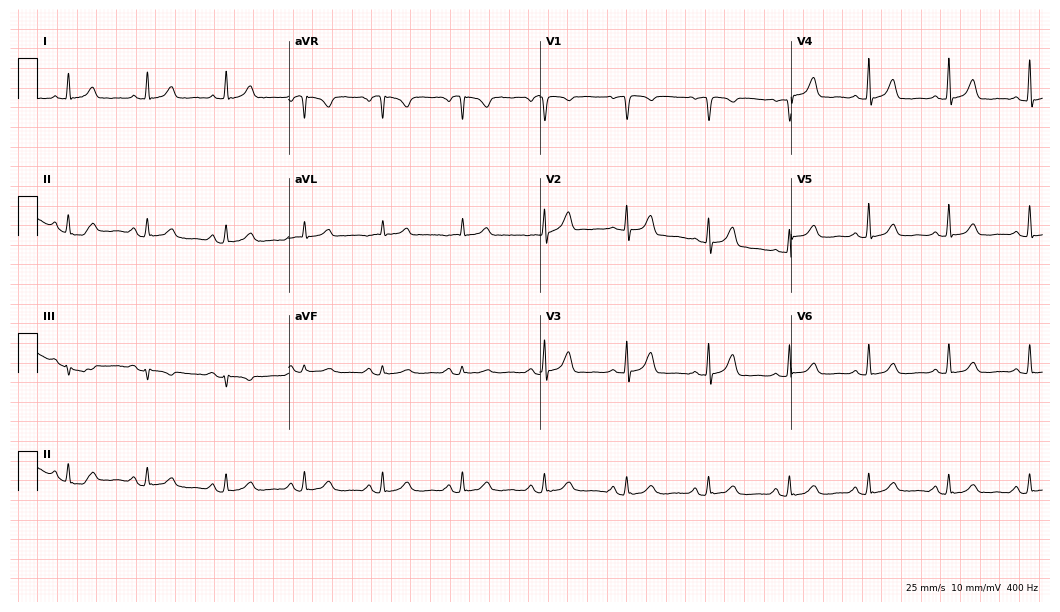
12-lead ECG from a female, 63 years old. Recorded interpretation: within normal limits.